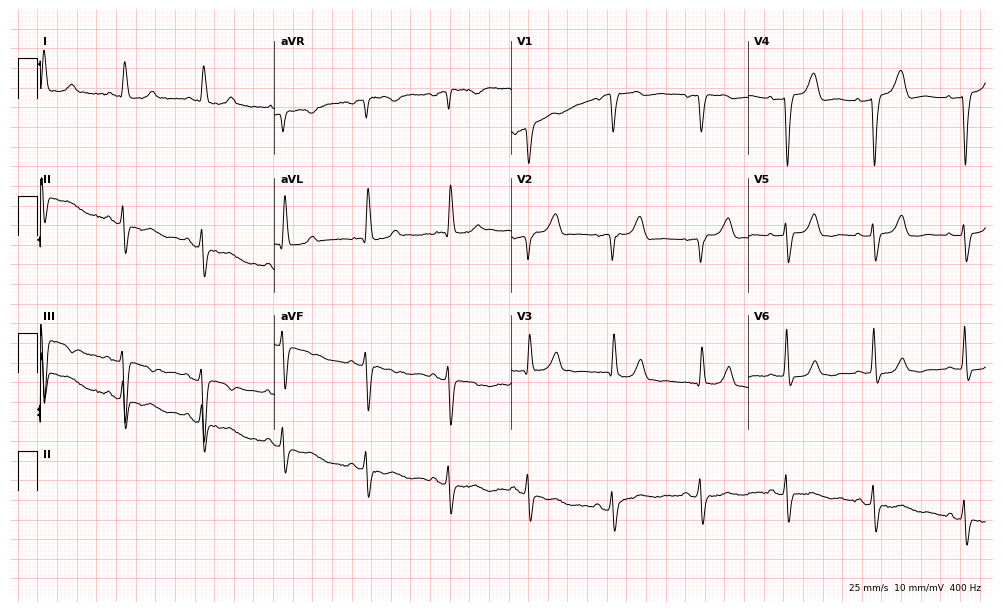
ECG (9.7-second recording at 400 Hz) — a 79-year-old female patient. Screened for six findings — first-degree AV block, right bundle branch block, left bundle branch block, sinus bradycardia, atrial fibrillation, sinus tachycardia — none is recorded. Only these six findings were labelled.